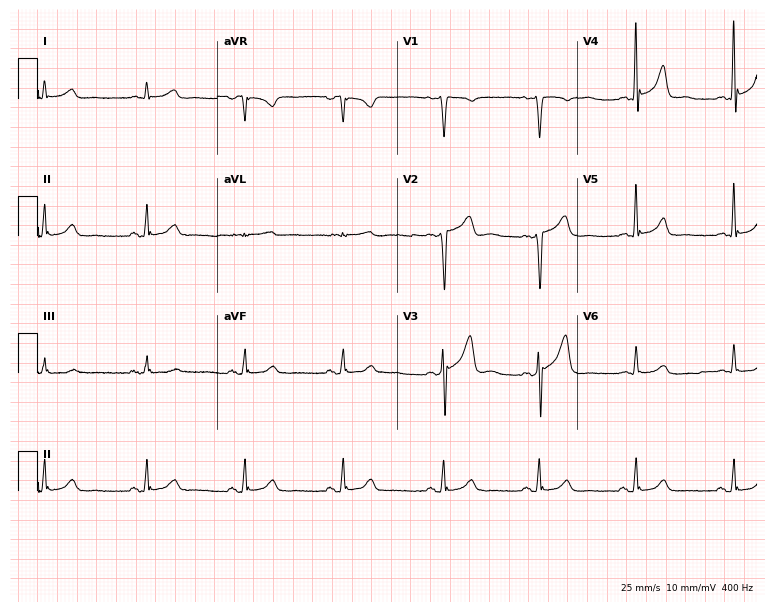
Standard 12-lead ECG recorded from a 60-year-old male (7.3-second recording at 400 Hz). None of these six findings is recorded: first-degree AV block, right bundle branch block (RBBB), left bundle branch block (LBBB), sinus bradycardia, atrial fibrillation (AF), sinus tachycardia.